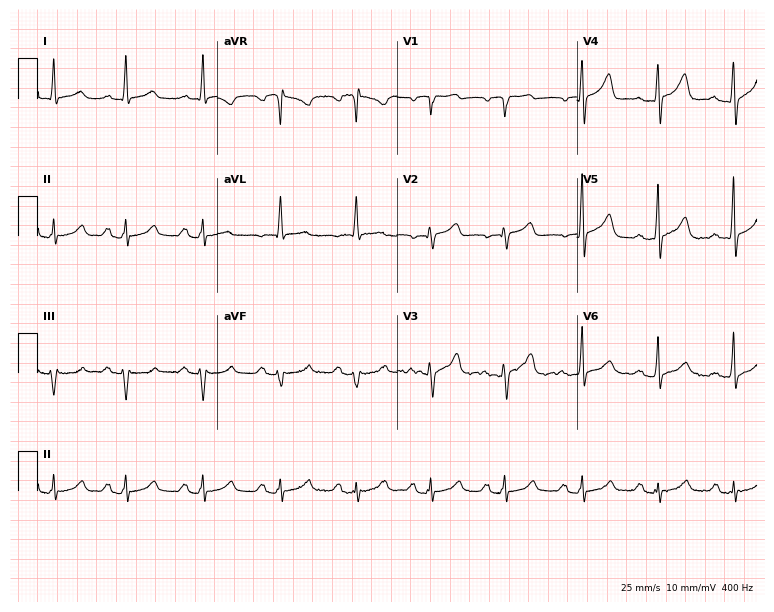
12-lead ECG from a male, 73 years old. Labelled as a normal ECG.